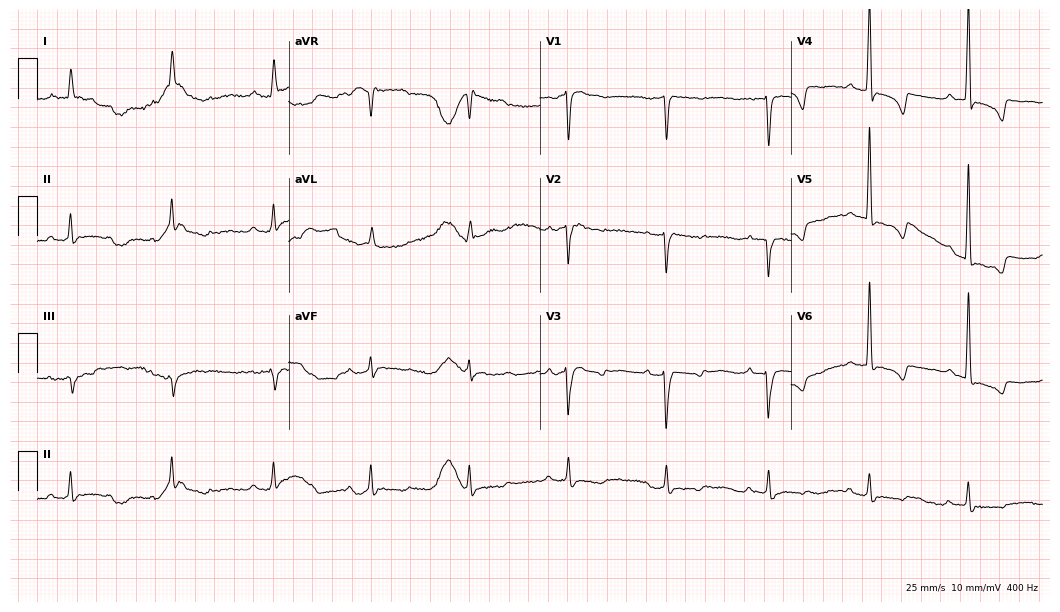
Resting 12-lead electrocardiogram (10.2-second recording at 400 Hz). Patient: a female, 84 years old. None of these six findings is recorded: first-degree AV block, right bundle branch block (RBBB), left bundle branch block (LBBB), sinus bradycardia, atrial fibrillation (AF), sinus tachycardia.